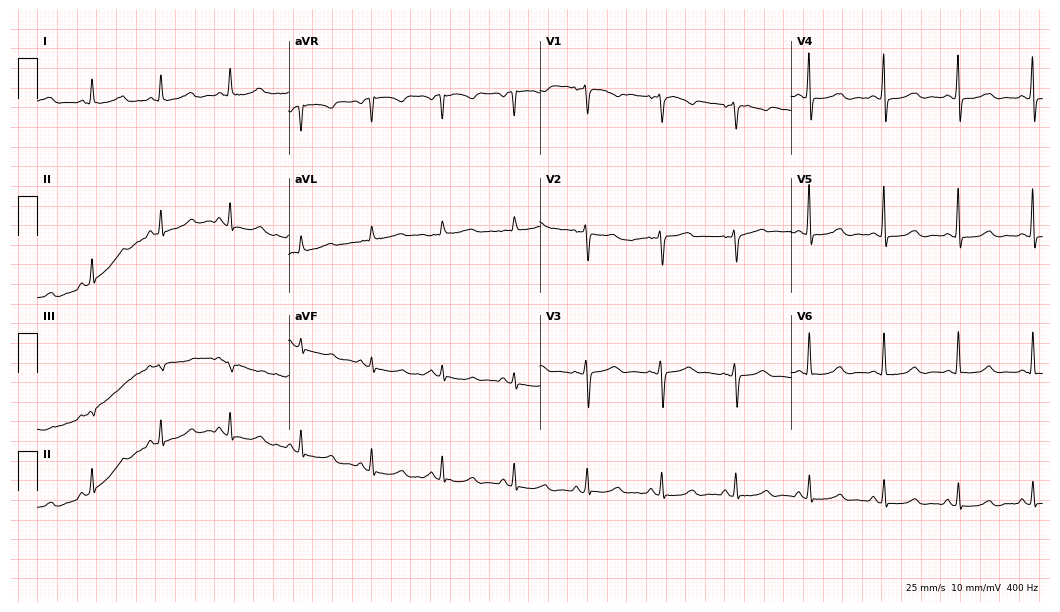
Electrocardiogram (10.2-second recording at 400 Hz), a 67-year-old woman. Of the six screened findings (first-degree AV block, right bundle branch block, left bundle branch block, sinus bradycardia, atrial fibrillation, sinus tachycardia), none is recorded. Other findings, if any, are not listed.